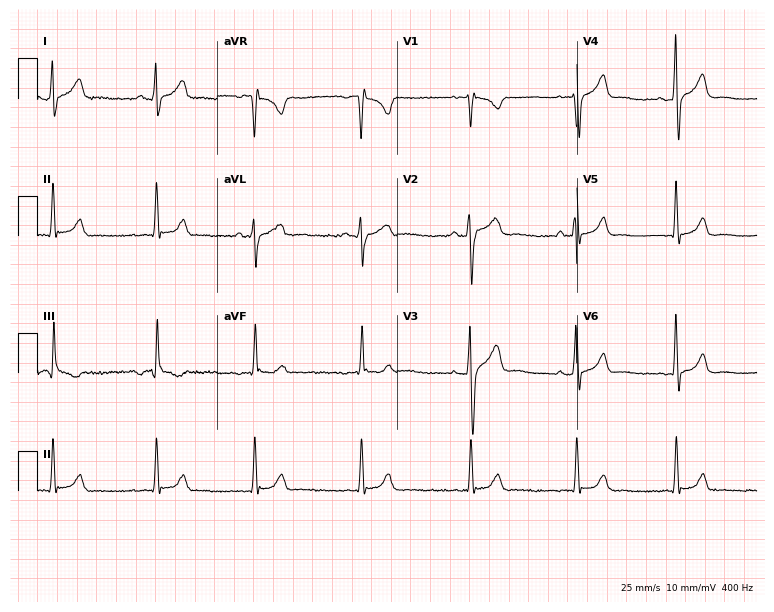
Resting 12-lead electrocardiogram (7.3-second recording at 400 Hz). Patient: a man, 35 years old. None of these six findings is recorded: first-degree AV block, right bundle branch block, left bundle branch block, sinus bradycardia, atrial fibrillation, sinus tachycardia.